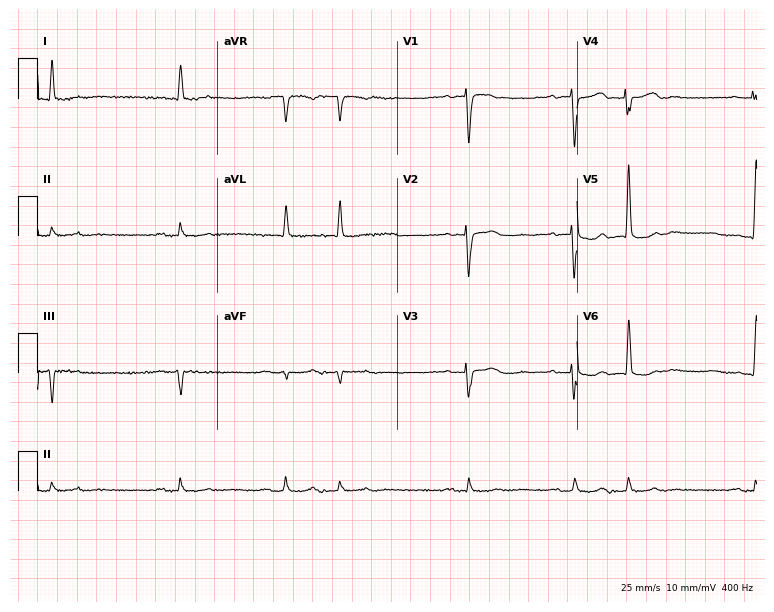
Standard 12-lead ECG recorded from a female, 71 years old (7.3-second recording at 400 Hz). None of these six findings is recorded: first-degree AV block, right bundle branch block, left bundle branch block, sinus bradycardia, atrial fibrillation, sinus tachycardia.